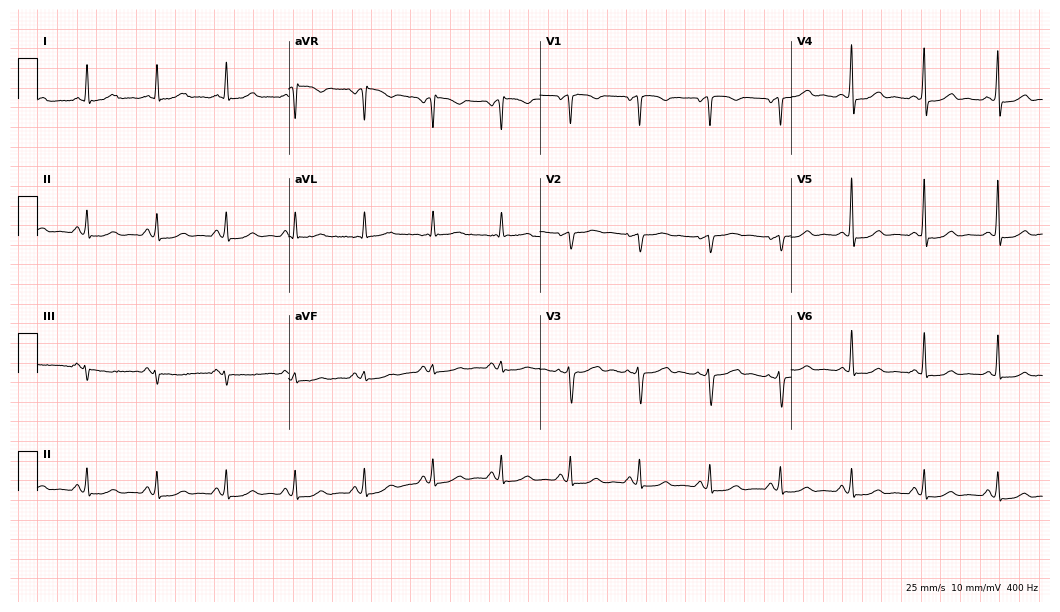
Electrocardiogram, a woman, 51 years old. Of the six screened findings (first-degree AV block, right bundle branch block, left bundle branch block, sinus bradycardia, atrial fibrillation, sinus tachycardia), none is recorded. Other findings, if any, are not listed.